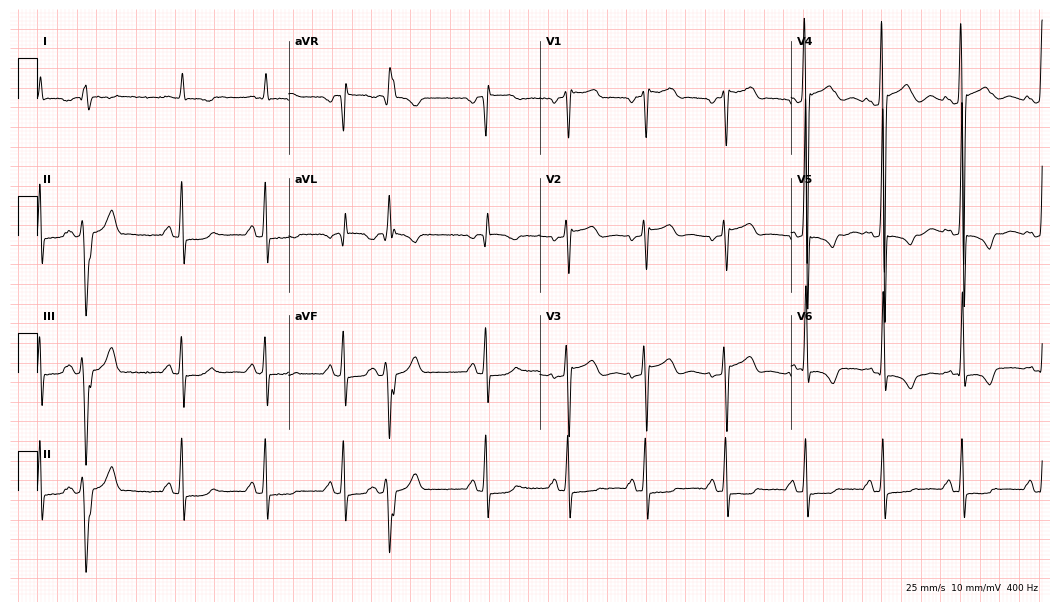
Electrocardiogram, a male, 81 years old. Of the six screened findings (first-degree AV block, right bundle branch block (RBBB), left bundle branch block (LBBB), sinus bradycardia, atrial fibrillation (AF), sinus tachycardia), none is recorded.